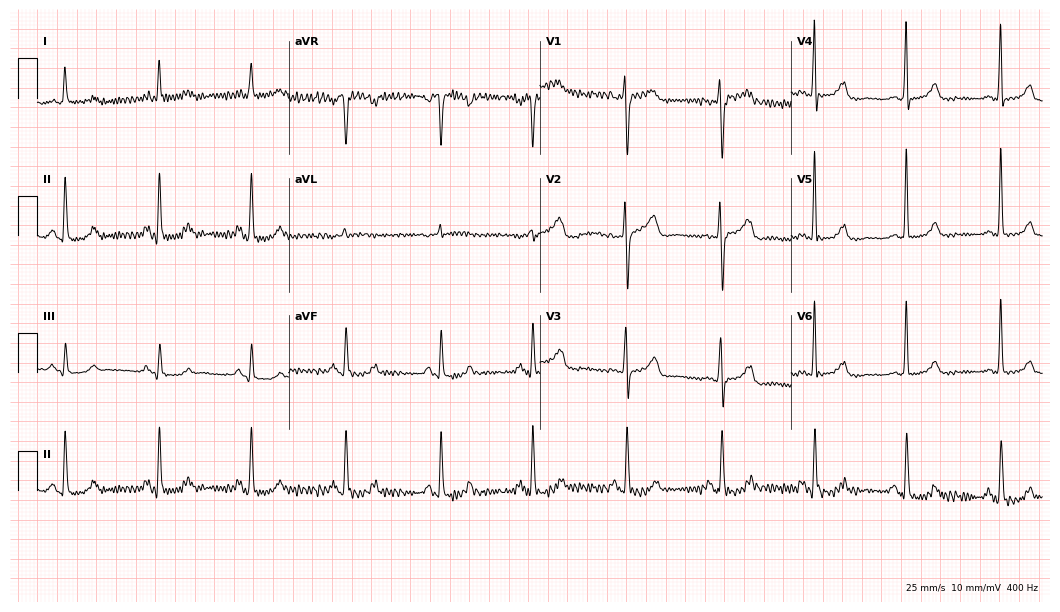
Electrocardiogram, a 74-year-old female. Overall reading on record: normal ECG.